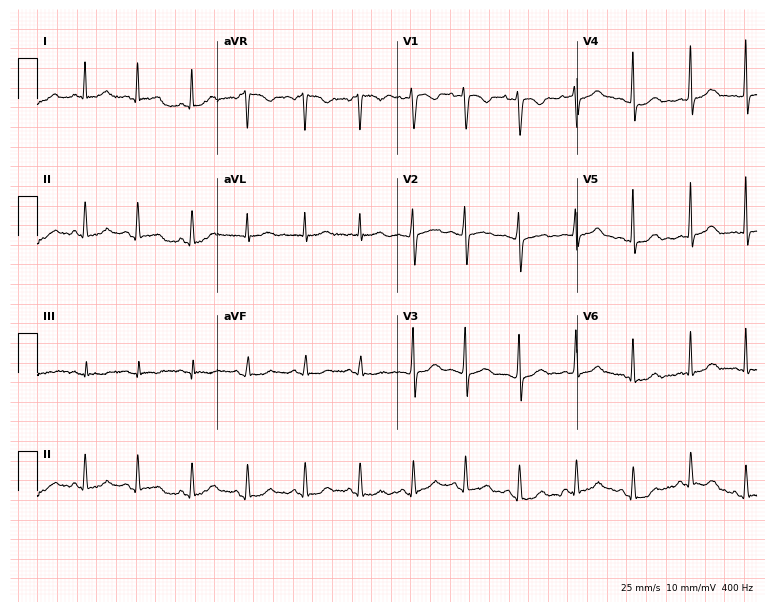
12-lead ECG from a 20-year-old female. No first-degree AV block, right bundle branch block, left bundle branch block, sinus bradycardia, atrial fibrillation or sinus tachycardia recorded for this tracing.